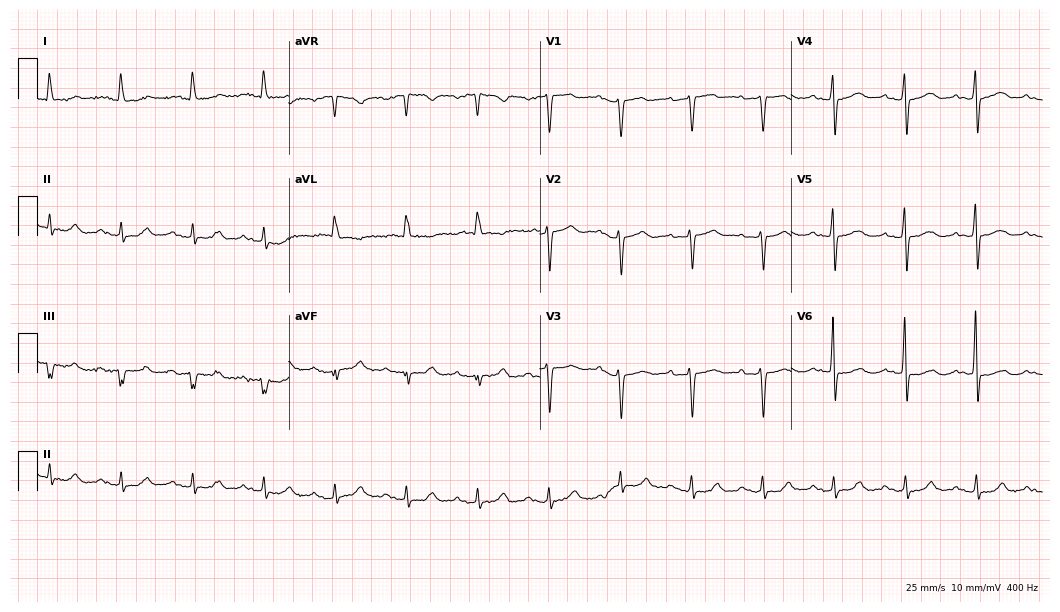
Resting 12-lead electrocardiogram (10.2-second recording at 400 Hz). Patient: a woman, 80 years old. Read as a normal ECG.